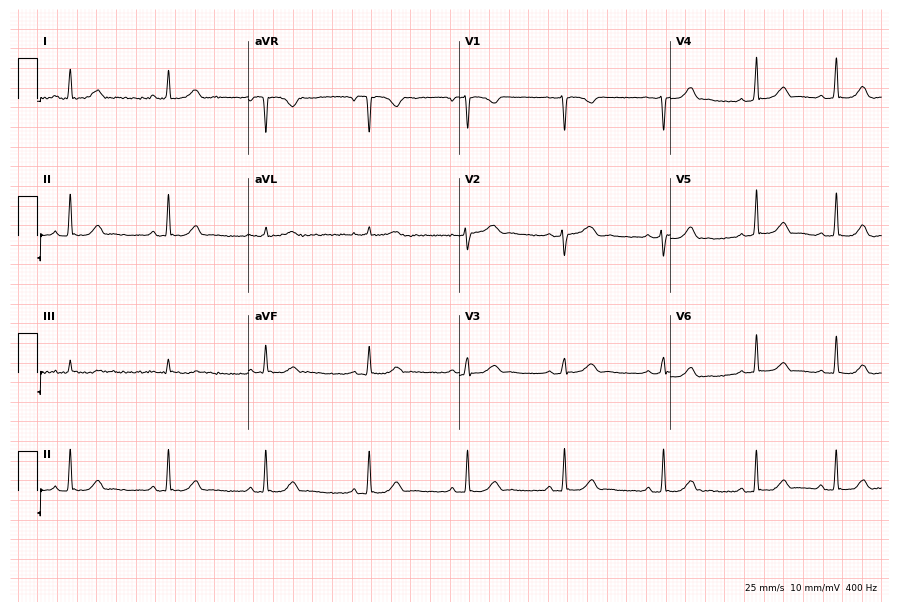
12-lead ECG from a 23-year-old woman. Labelled as a normal ECG.